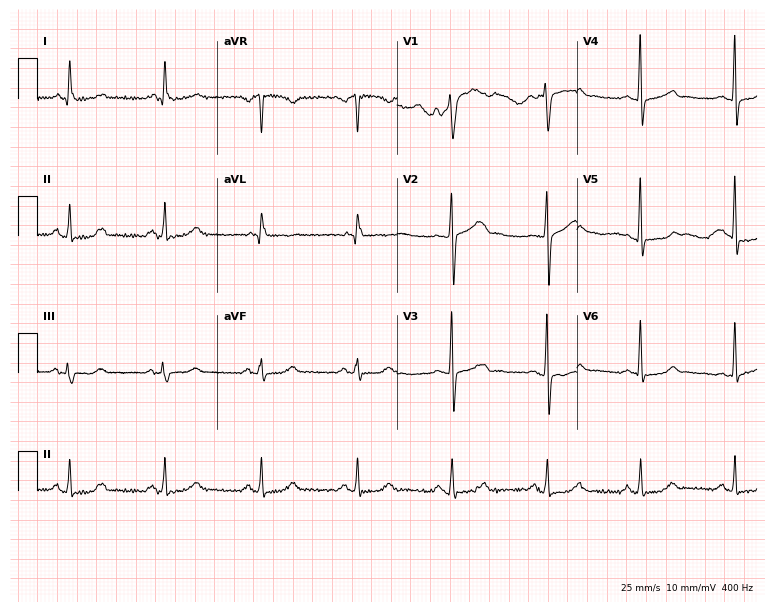
Electrocardiogram, a male, 60 years old. Of the six screened findings (first-degree AV block, right bundle branch block (RBBB), left bundle branch block (LBBB), sinus bradycardia, atrial fibrillation (AF), sinus tachycardia), none is recorded. Only these six findings were labelled.